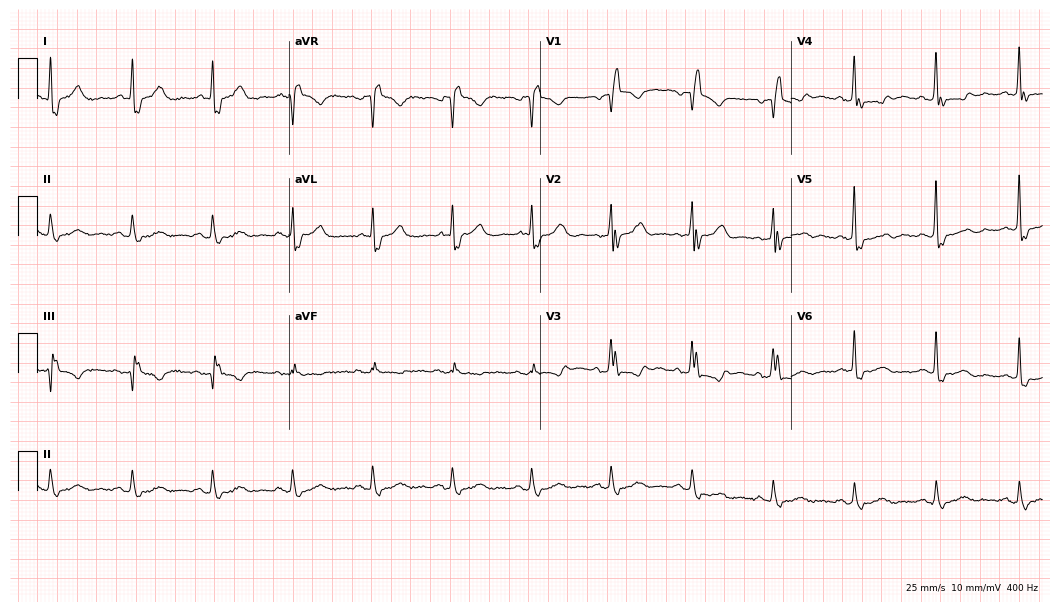
Standard 12-lead ECG recorded from an 84-year-old male patient. None of these six findings is recorded: first-degree AV block, right bundle branch block (RBBB), left bundle branch block (LBBB), sinus bradycardia, atrial fibrillation (AF), sinus tachycardia.